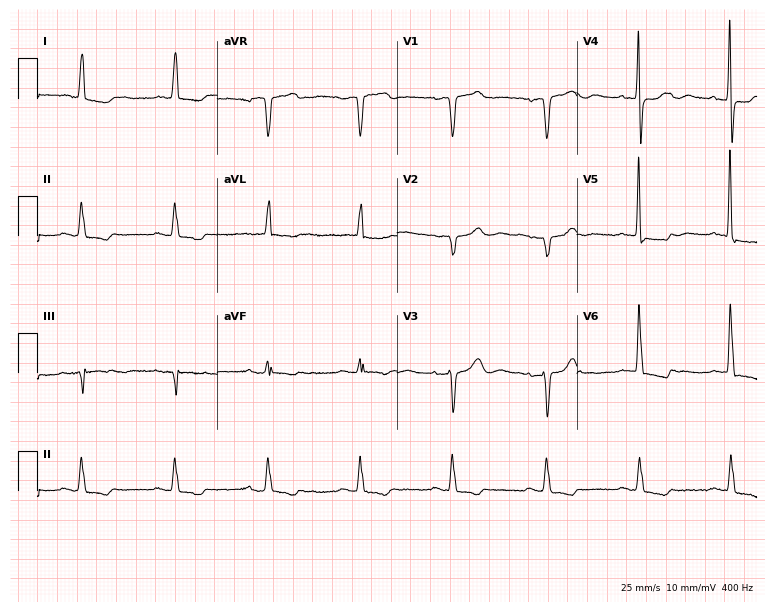
Standard 12-lead ECG recorded from a 74-year-old female patient. None of these six findings is recorded: first-degree AV block, right bundle branch block, left bundle branch block, sinus bradycardia, atrial fibrillation, sinus tachycardia.